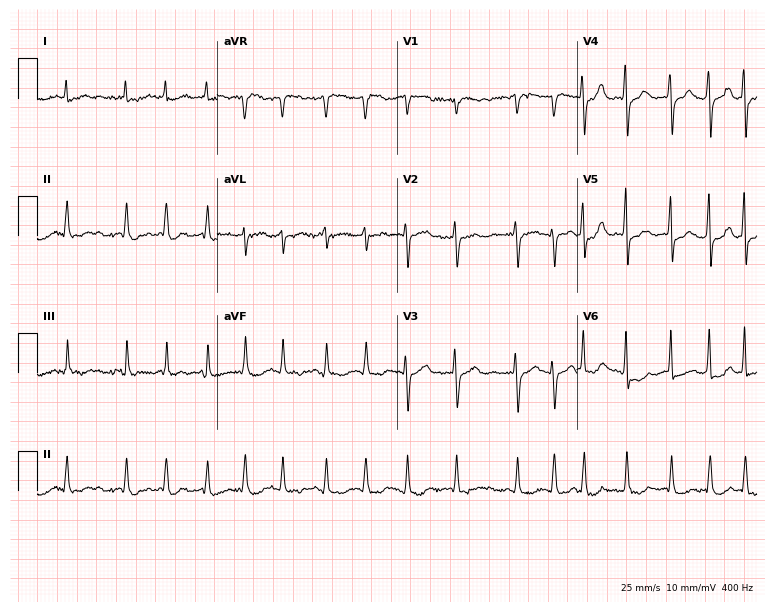
12-lead ECG from a 79-year-old female. Findings include atrial fibrillation.